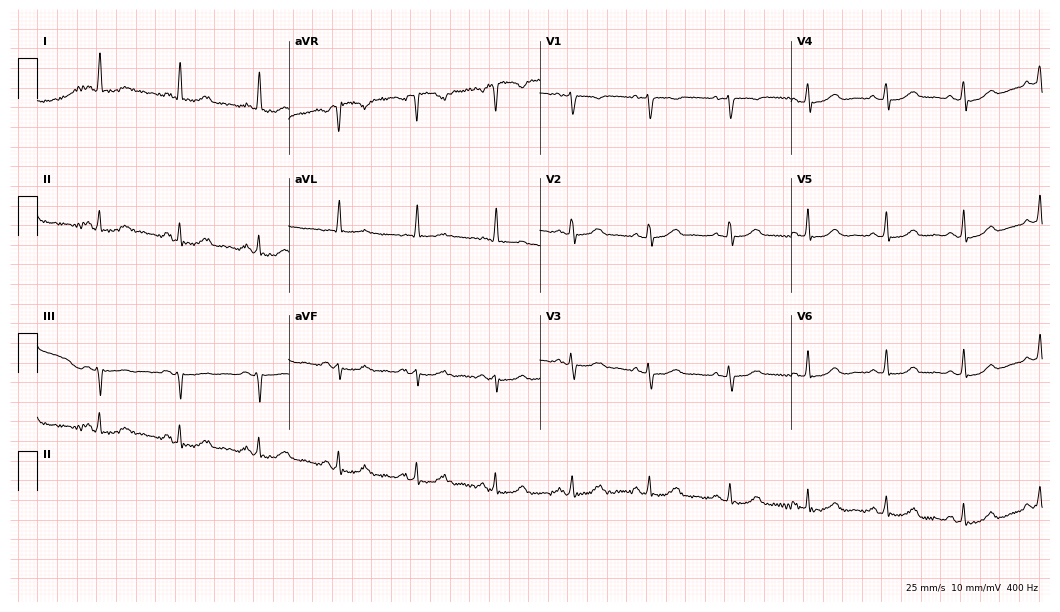
12-lead ECG (10.2-second recording at 400 Hz) from a 57-year-old female. Screened for six findings — first-degree AV block, right bundle branch block, left bundle branch block, sinus bradycardia, atrial fibrillation, sinus tachycardia — none is recorded. Only these six findings were labelled.